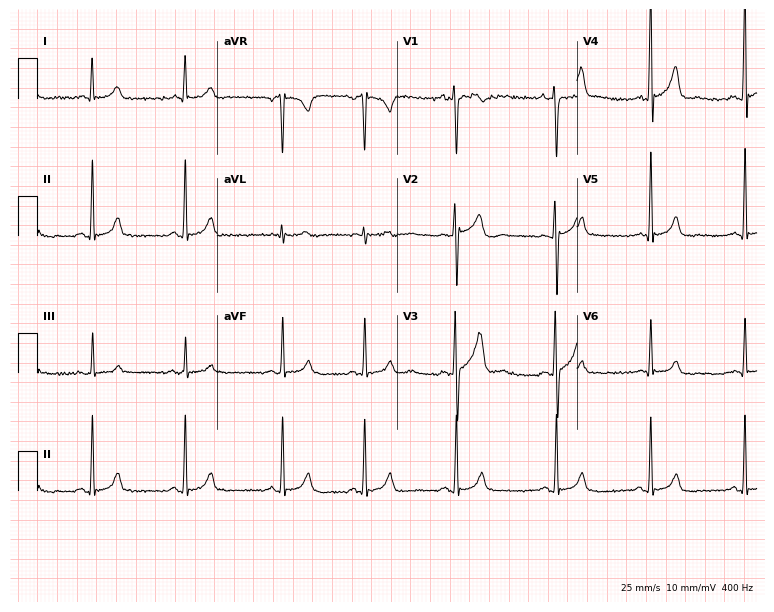
12-lead ECG from a man, 23 years old. No first-degree AV block, right bundle branch block, left bundle branch block, sinus bradycardia, atrial fibrillation or sinus tachycardia recorded for this tracing.